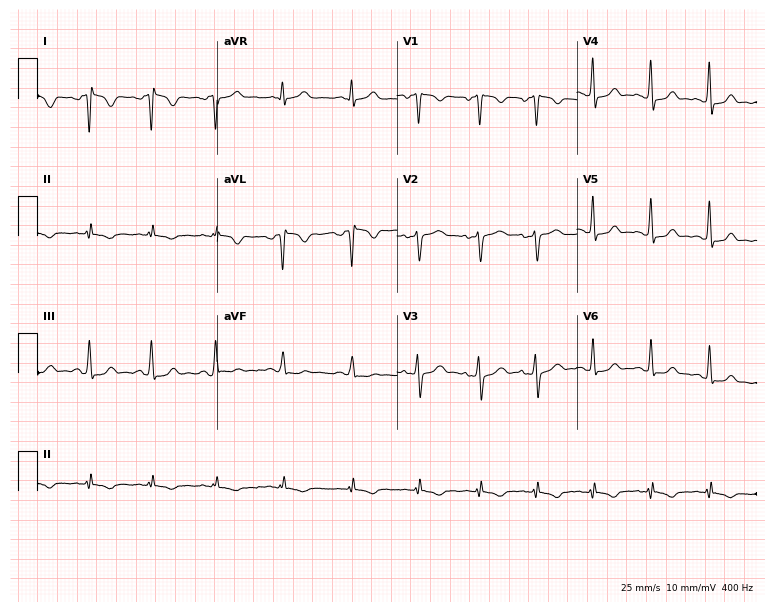
Resting 12-lead electrocardiogram (7.3-second recording at 400 Hz). Patient: a 41-year-old woman. None of these six findings is recorded: first-degree AV block, right bundle branch block, left bundle branch block, sinus bradycardia, atrial fibrillation, sinus tachycardia. Findings outside these six are not listed.